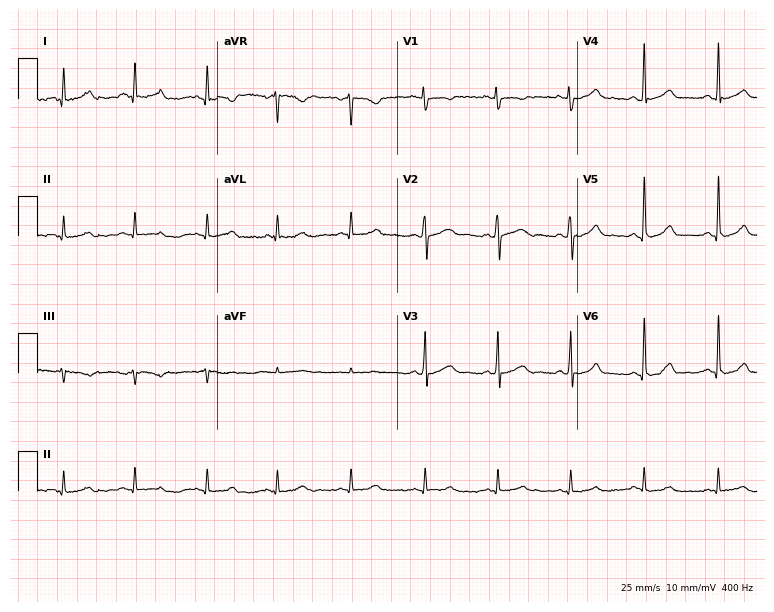
Electrocardiogram (7.3-second recording at 400 Hz), a 27-year-old woman. Overall reading on record: normal ECG.